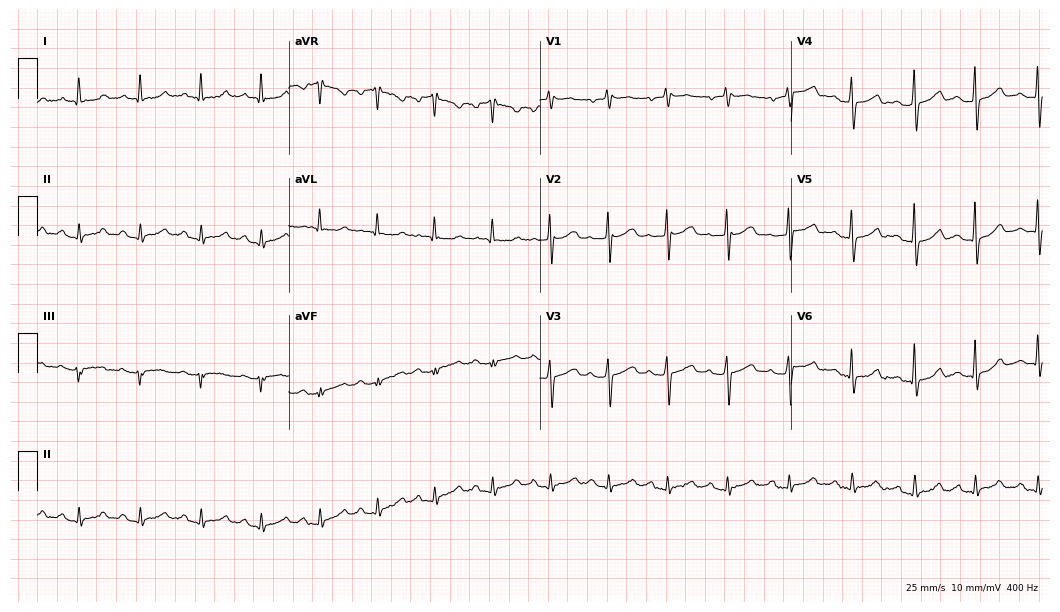
Electrocardiogram (10.2-second recording at 400 Hz), a 49-year-old male. Overall reading on record: normal ECG.